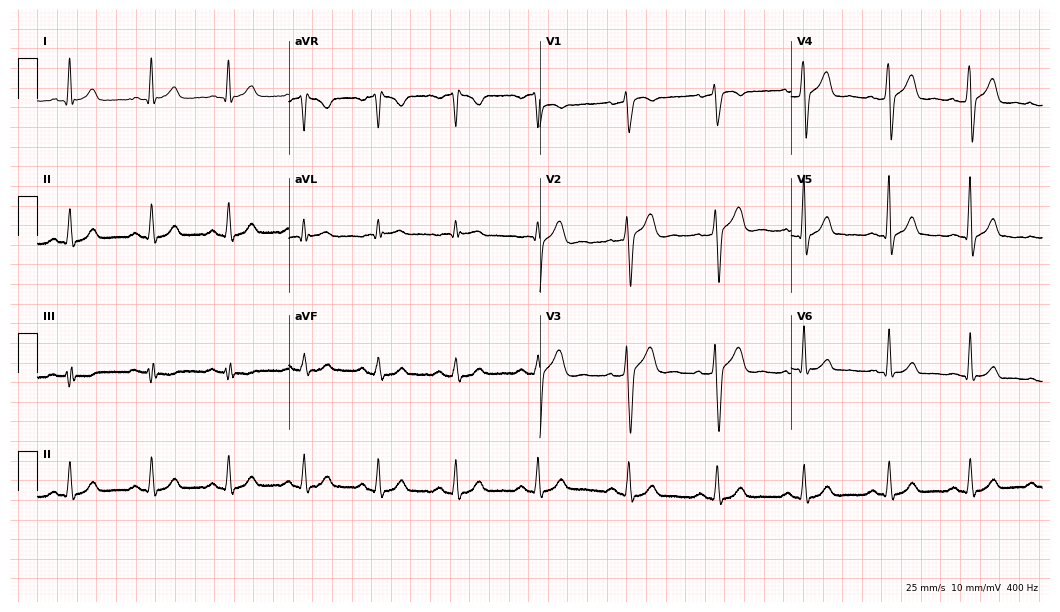
ECG — a male, 36 years old. Screened for six findings — first-degree AV block, right bundle branch block, left bundle branch block, sinus bradycardia, atrial fibrillation, sinus tachycardia — none is recorded. Other findings, if any, are not listed.